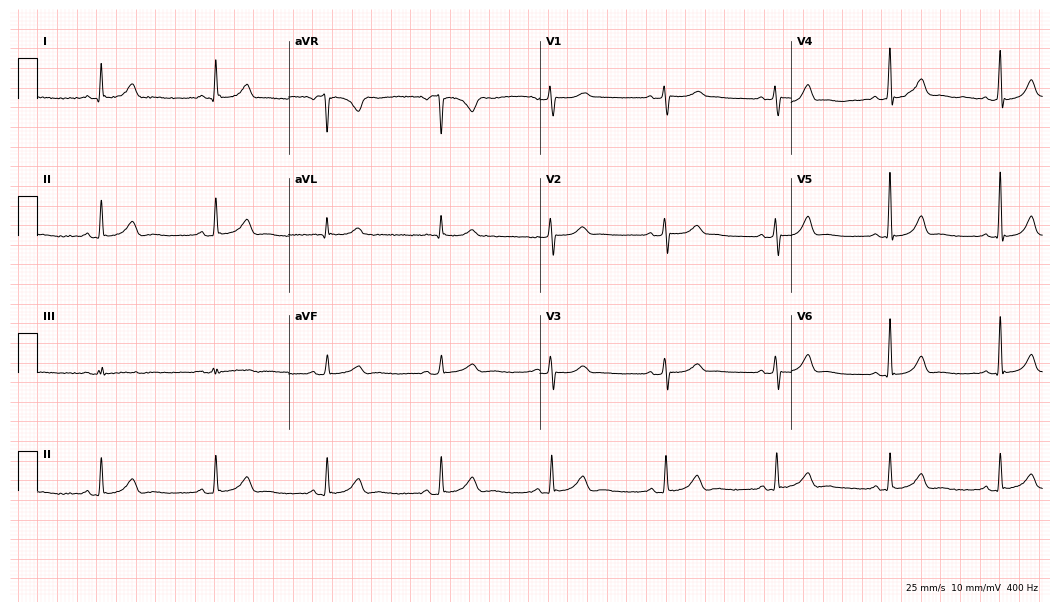
Resting 12-lead electrocardiogram. Patient: a 59-year-old female. Read as a normal ECG.